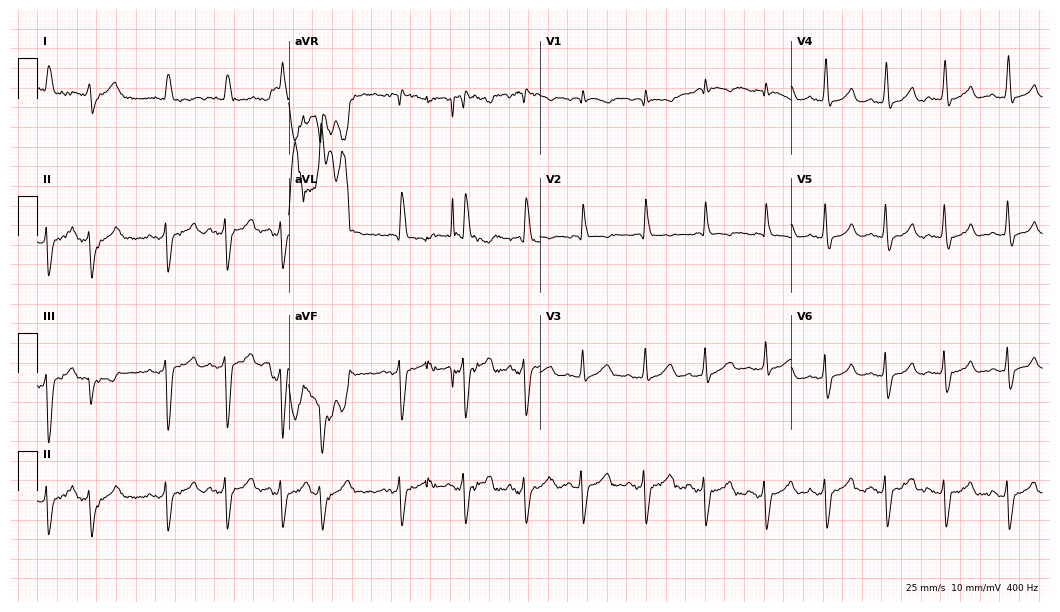
ECG — a 66-year-old woman. Screened for six findings — first-degree AV block, right bundle branch block, left bundle branch block, sinus bradycardia, atrial fibrillation, sinus tachycardia — none is recorded.